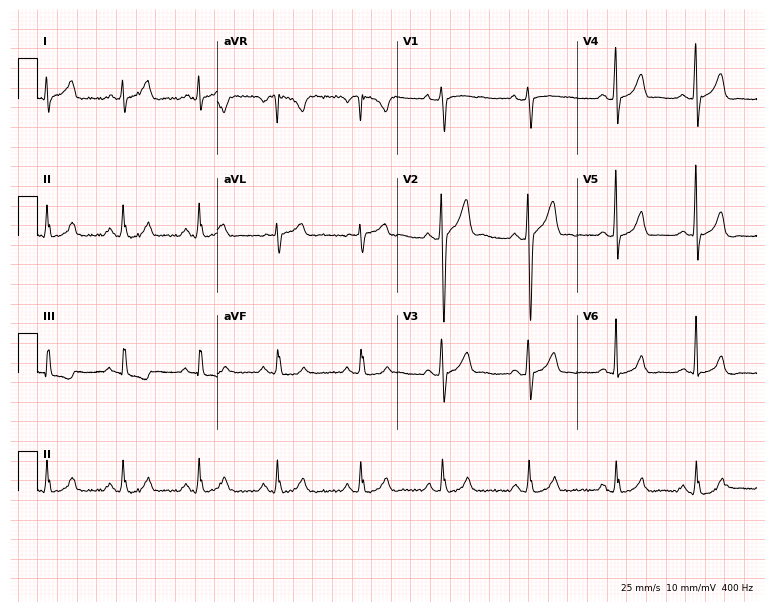
12-lead ECG (7.3-second recording at 400 Hz) from a 32-year-old male. Labelled as a normal ECG.